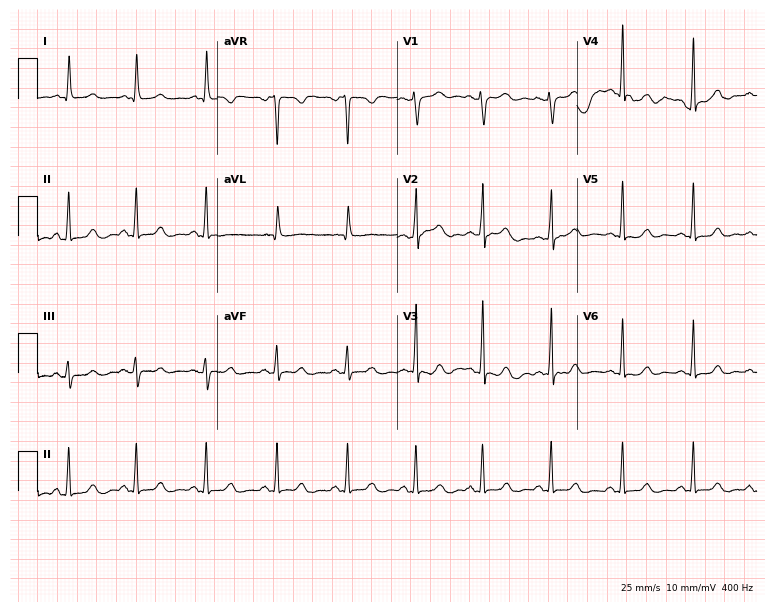
ECG — a 50-year-old female. Labelled as a normal ECG.